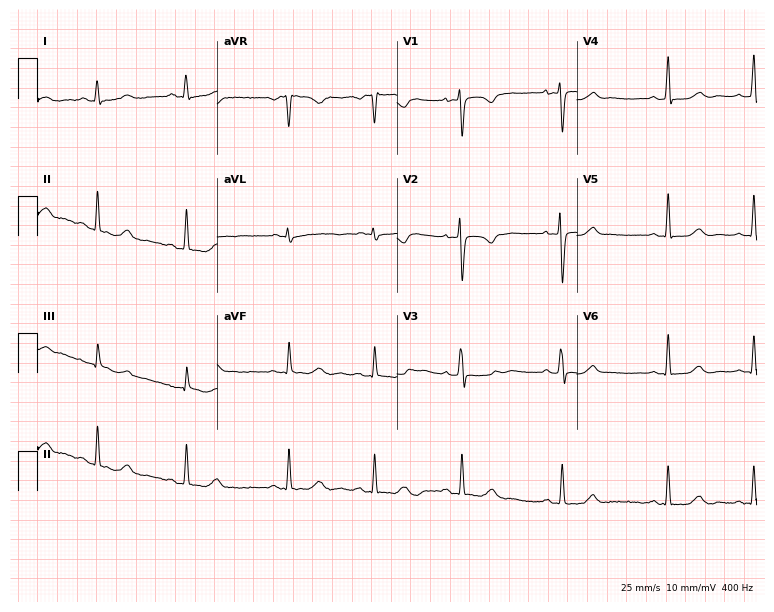
12-lead ECG from a female, 25 years old. Screened for six findings — first-degree AV block, right bundle branch block, left bundle branch block, sinus bradycardia, atrial fibrillation, sinus tachycardia — none is recorded.